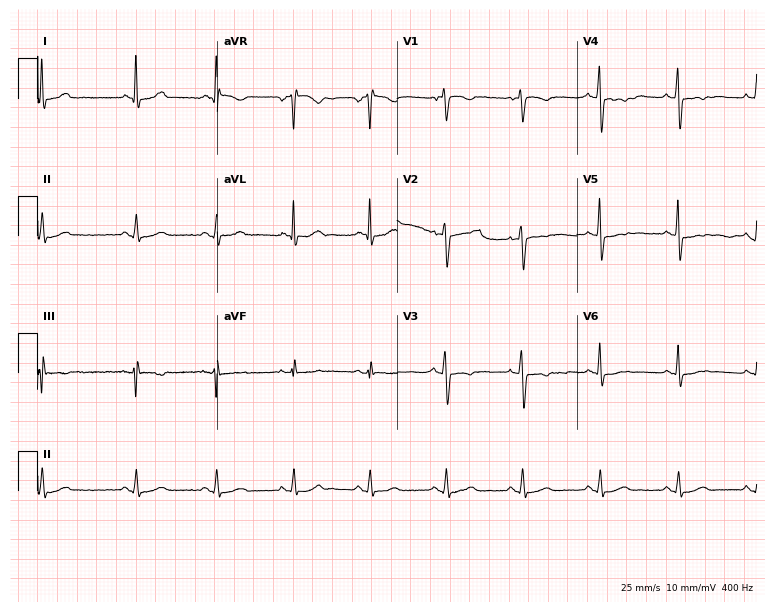
Standard 12-lead ECG recorded from a 47-year-old female. None of these six findings is recorded: first-degree AV block, right bundle branch block, left bundle branch block, sinus bradycardia, atrial fibrillation, sinus tachycardia.